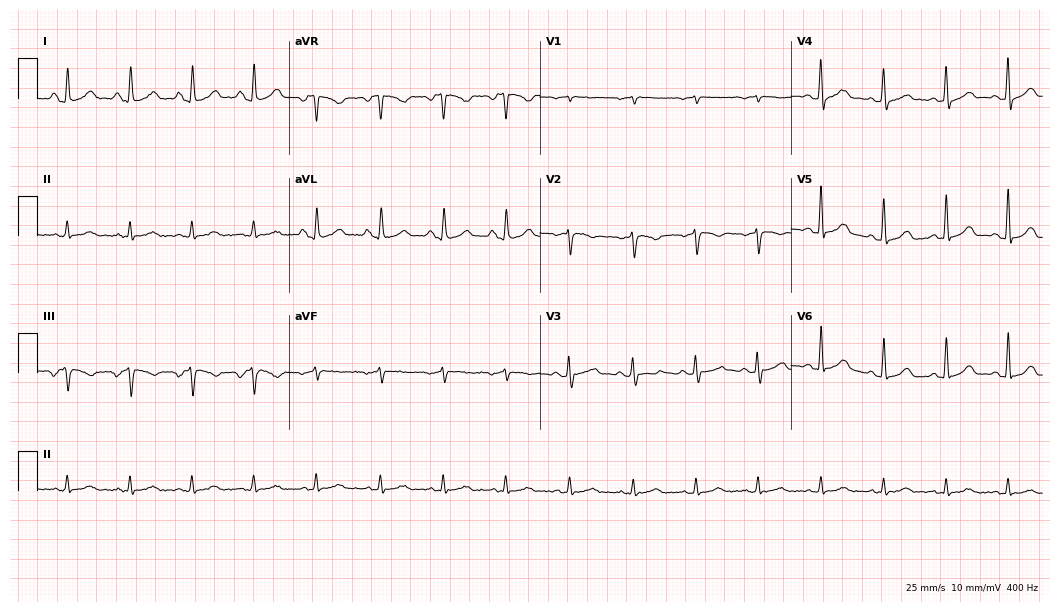
Standard 12-lead ECG recorded from a female patient, 62 years old. Read as a normal ECG.